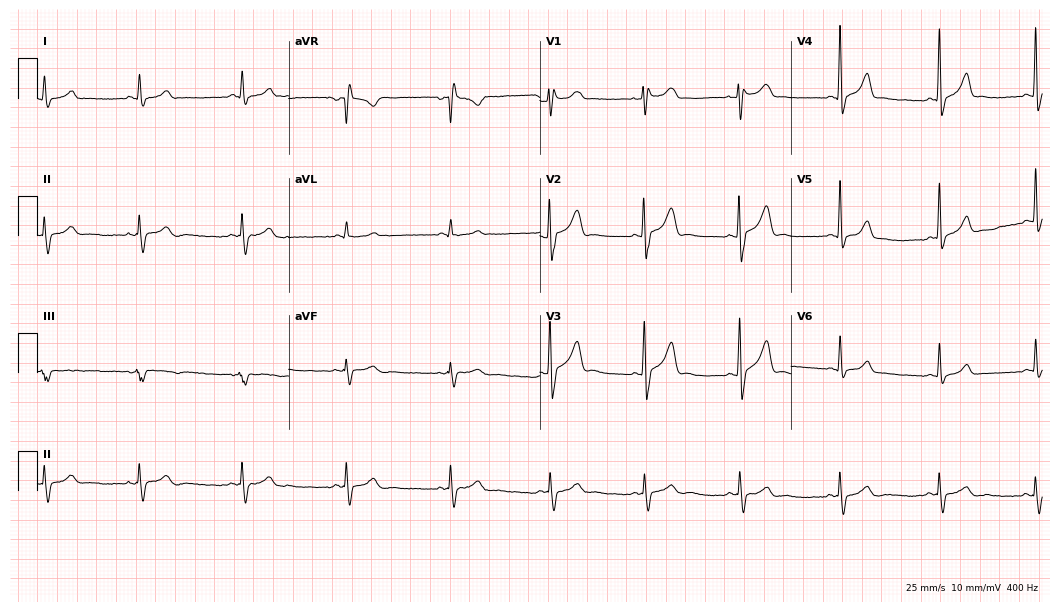
Resting 12-lead electrocardiogram. Patient: a 23-year-old male. None of these six findings is recorded: first-degree AV block, right bundle branch block, left bundle branch block, sinus bradycardia, atrial fibrillation, sinus tachycardia.